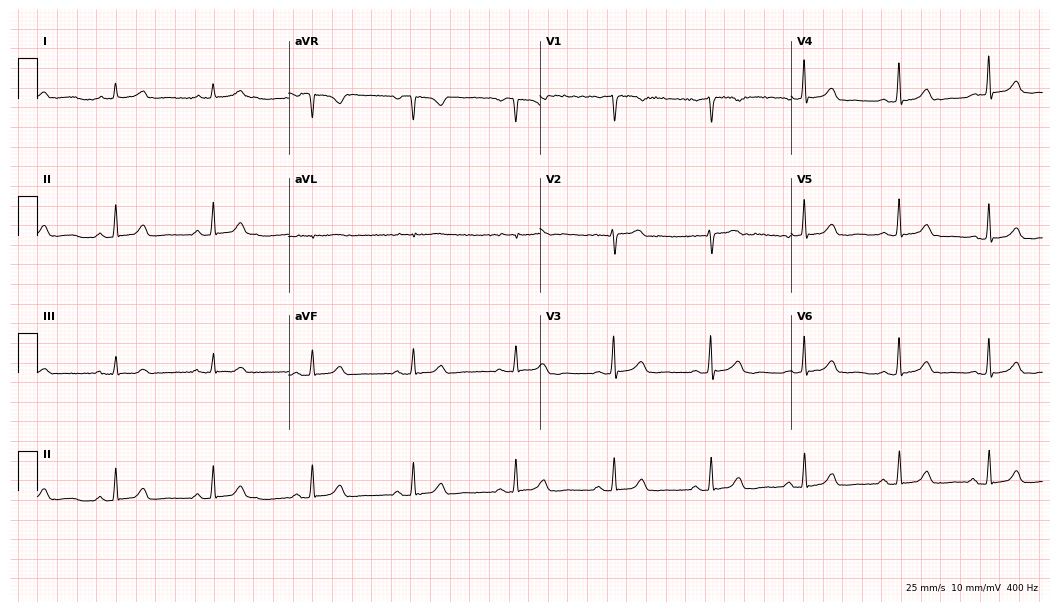
Electrocardiogram, a female, 49 years old. Overall reading on record: normal ECG.